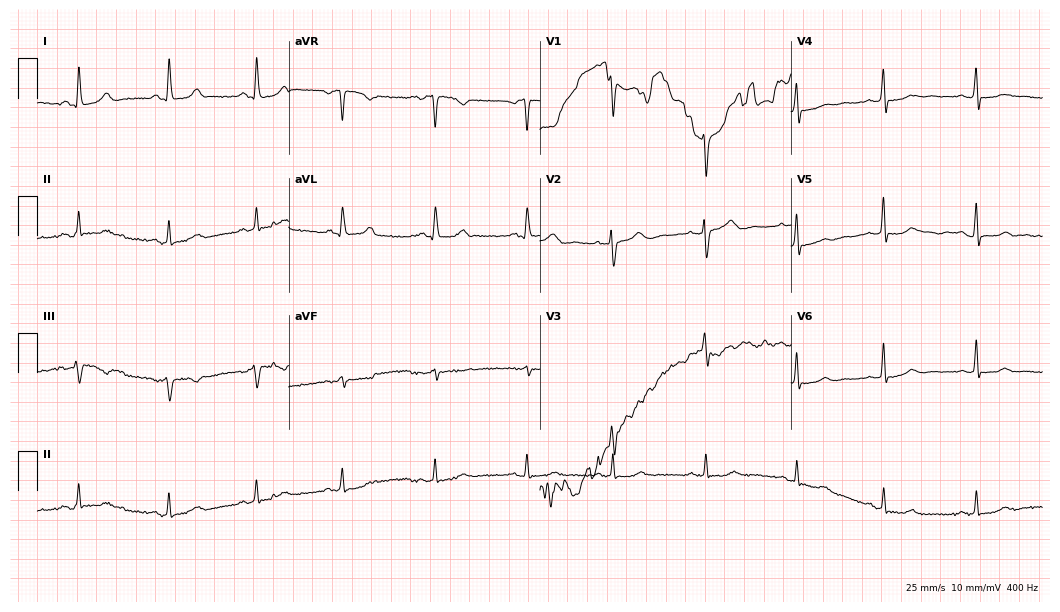
12-lead ECG (10.2-second recording at 400 Hz) from a female, 36 years old. Screened for six findings — first-degree AV block, right bundle branch block, left bundle branch block, sinus bradycardia, atrial fibrillation, sinus tachycardia — none is recorded.